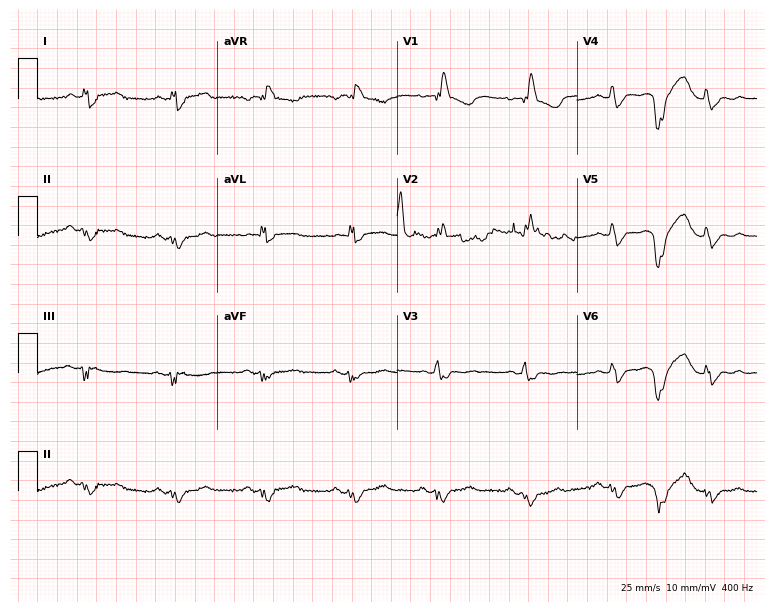
Electrocardiogram (7.3-second recording at 400 Hz), a female patient, 55 years old. Of the six screened findings (first-degree AV block, right bundle branch block, left bundle branch block, sinus bradycardia, atrial fibrillation, sinus tachycardia), none is recorded.